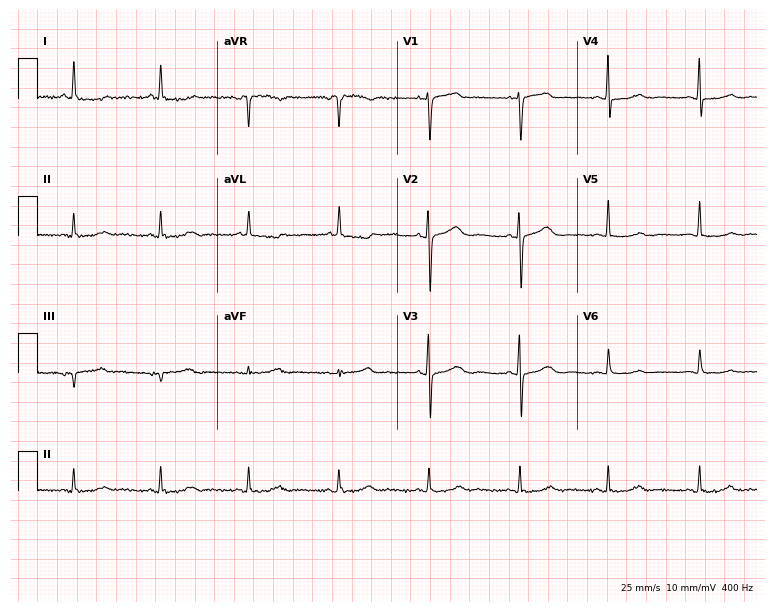
Electrocardiogram (7.3-second recording at 400 Hz), a 79-year-old woman. Of the six screened findings (first-degree AV block, right bundle branch block (RBBB), left bundle branch block (LBBB), sinus bradycardia, atrial fibrillation (AF), sinus tachycardia), none is recorded. Other findings, if any, are not listed.